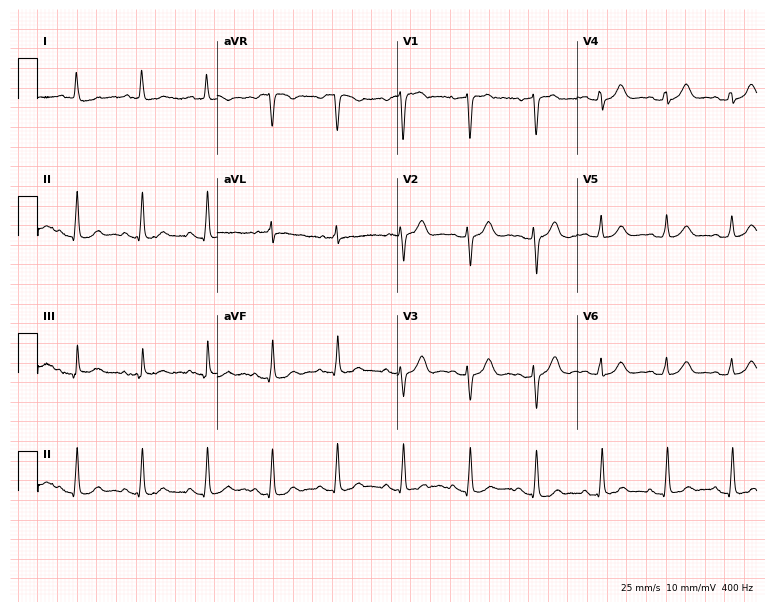
12-lead ECG from an 83-year-old female. No first-degree AV block, right bundle branch block, left bundle branch block, sinus bradycardia, atrial fibrillation or sinus tachycardia recorded for this tracing.